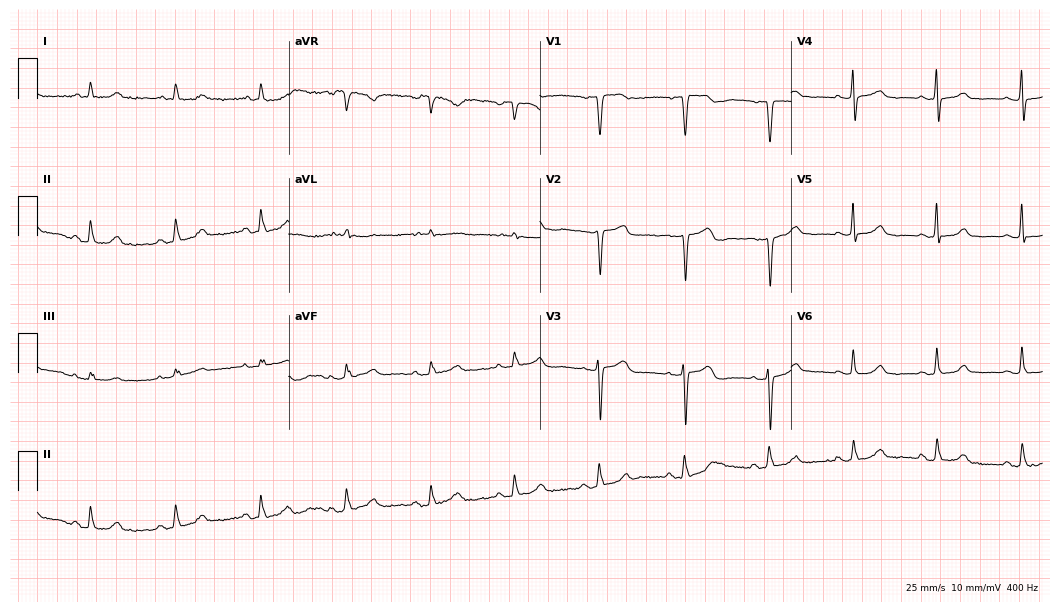
Resting 12-lead electrocardiogram. Patient: a female, 71 years old. Read as a normal ECG.